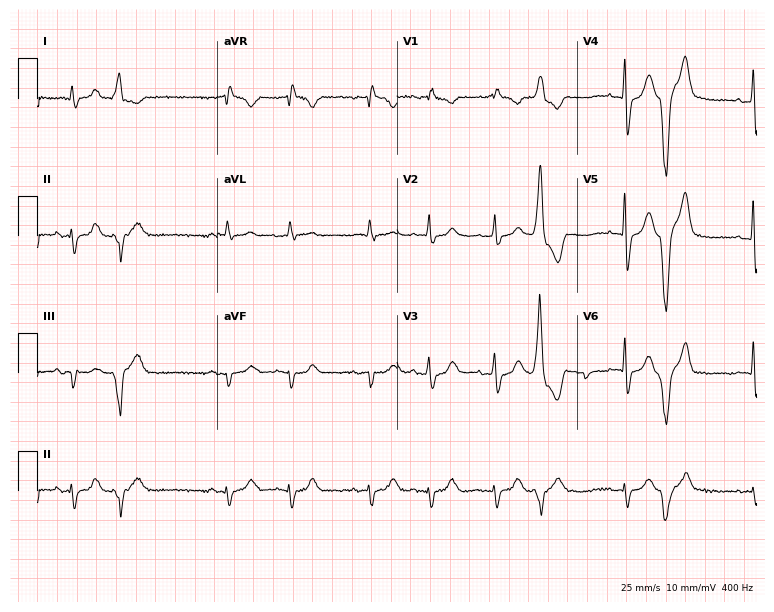
Electrocardiogram, a male patient, 77 years old. Of the six screened findings (first-degree AV block, right bundle branch block, left bundle branch block, sinus bradycardia, atrial fibrillation, sinus tachycardia), none is recorded. Only these six findings were labelled.